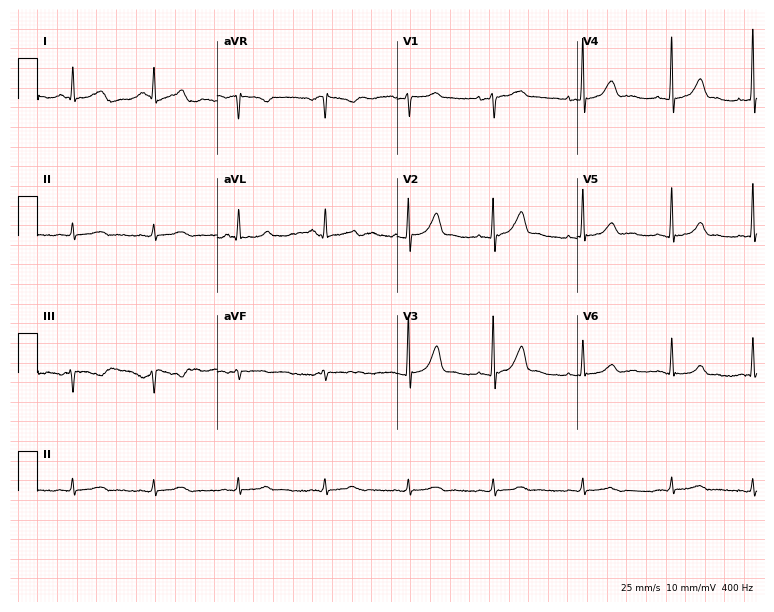
12-lead ECG from a female patient, 46 years old (7.3-second recording at 400 Hz). Recorded interpretation: within normal limits.